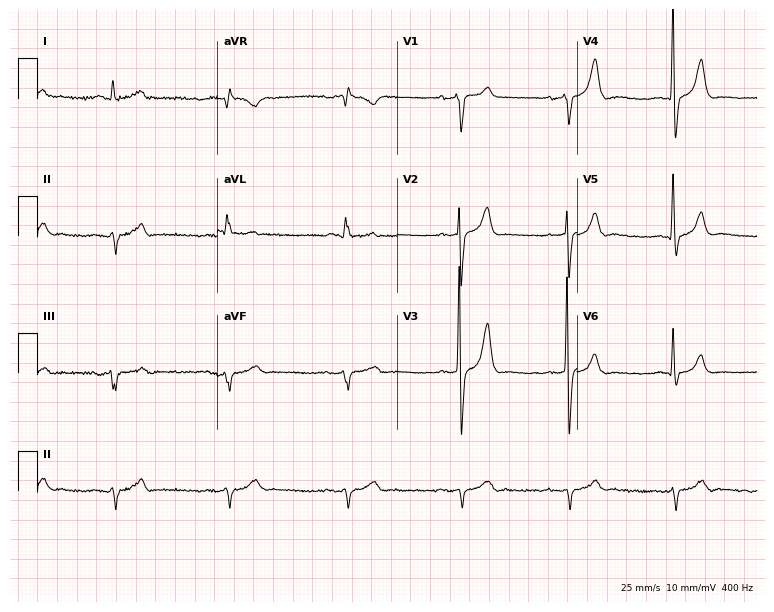
Electrocardiogram (7.3-second recording at 400 Hz), a 53-year-old male patient. Of the six screened findings (first-degree AV block, right bundle branch block (RBBB), left bundle branch block (LBBB), sinus bradycardia, atrial fibrillation (AF), sinus tachycardia), none is recorded.